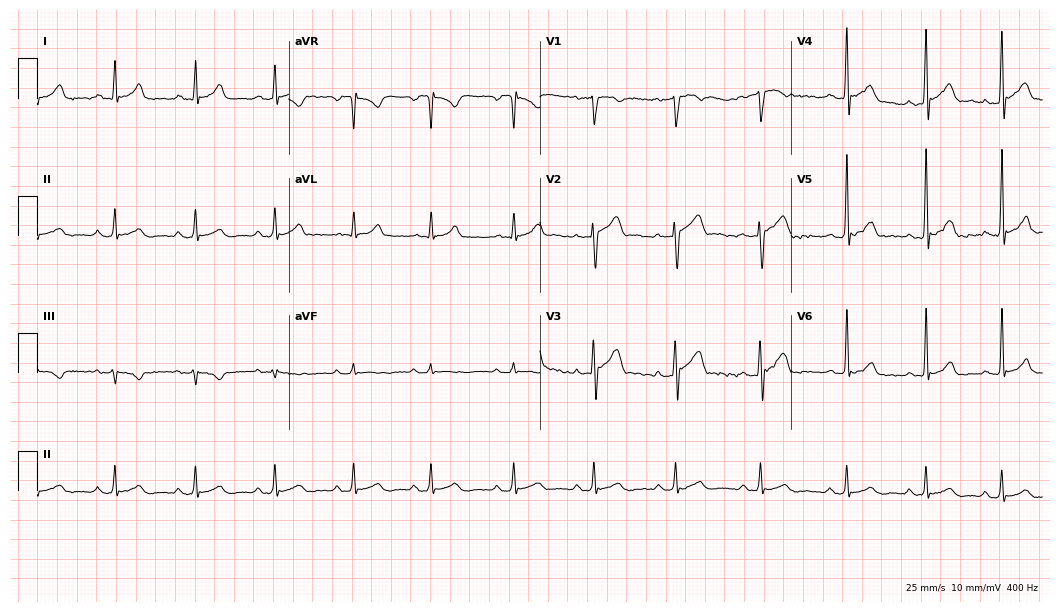
12-lead ECG from a male patient, 31 years old. Recorded interpretation: within normal limits.